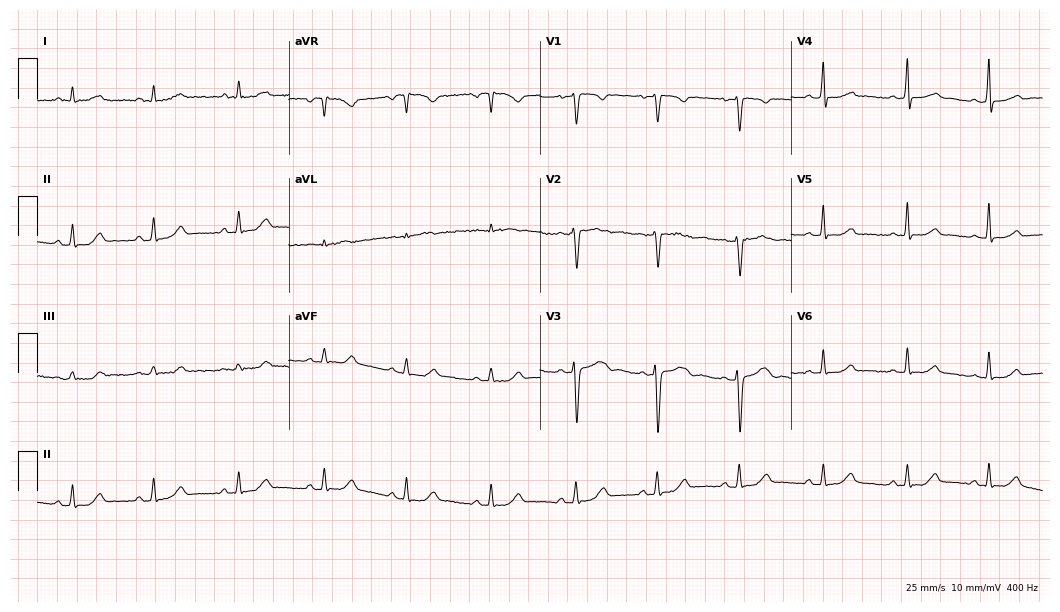
ECG — a 39-year-old female patient. Labelled as a normal ECG.